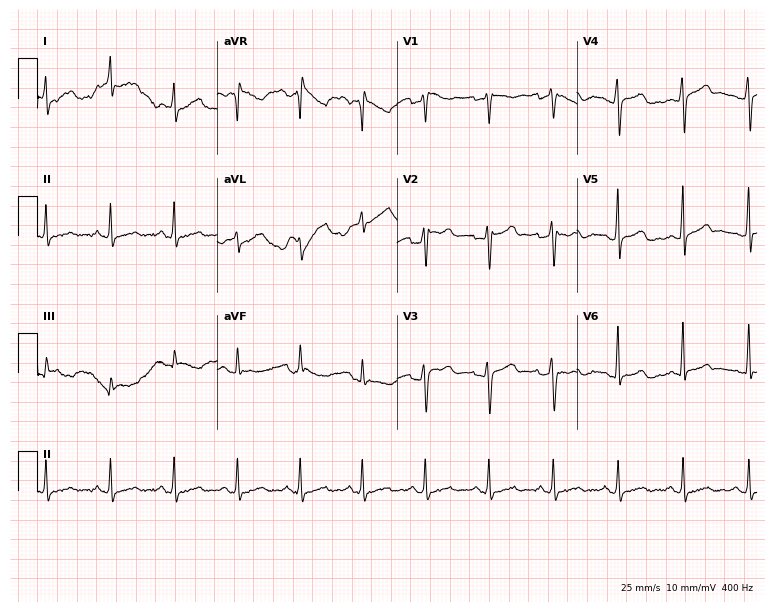
ECG — a 23-year-old female patient. Labelled as a normal ECG.